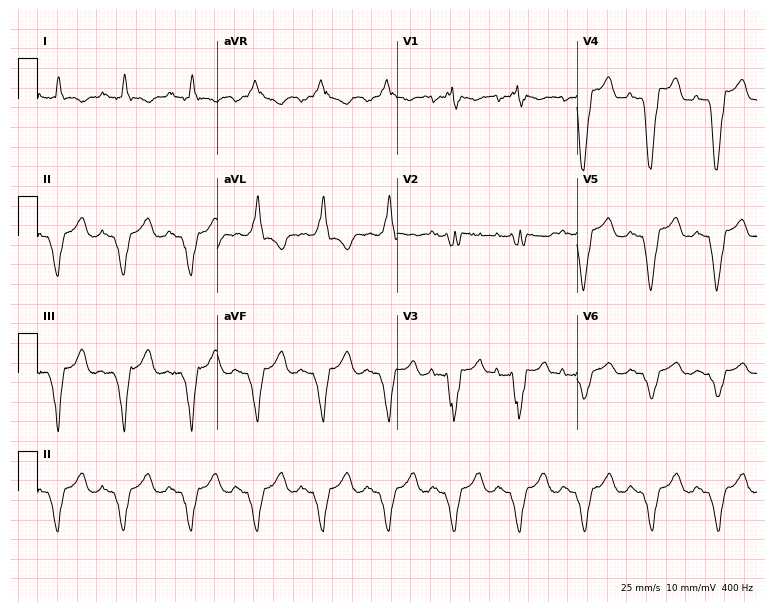
Resting 12-lead electrocardiogram. Patient: a male, 40 years old. None of these six findings is recorded: first-degree AV block, right bundle branch block (RBBB), left bundle branch block (LBBB), sinus bradycardia, atrial fibrillation (AF), sinus tachycardia.